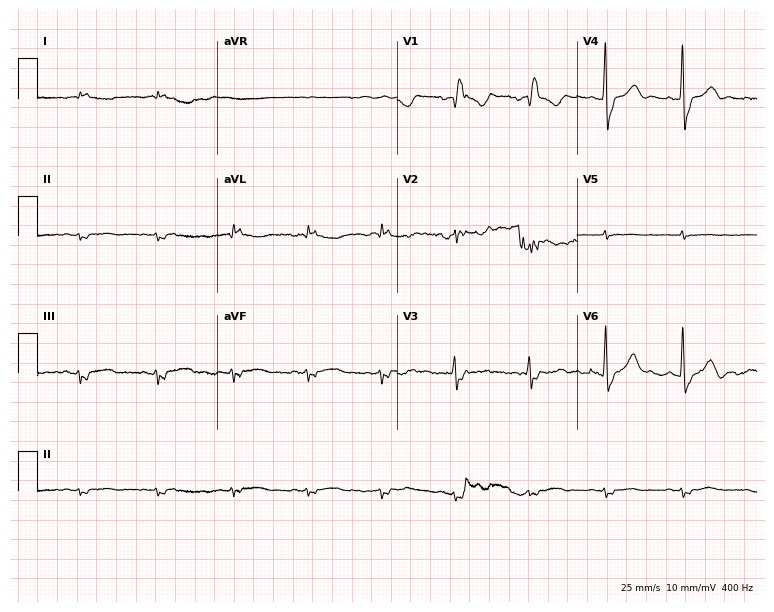
Resting 12-lead electrocardiogram. Patient: a female, 74 years old. None of these six findings is recorded: first-degree AV block, right bundle branch block, left bundle branch block, sinus bradycardia, atrial fibrillation, sinus tachycardia. Other findings, if any, are not listed.